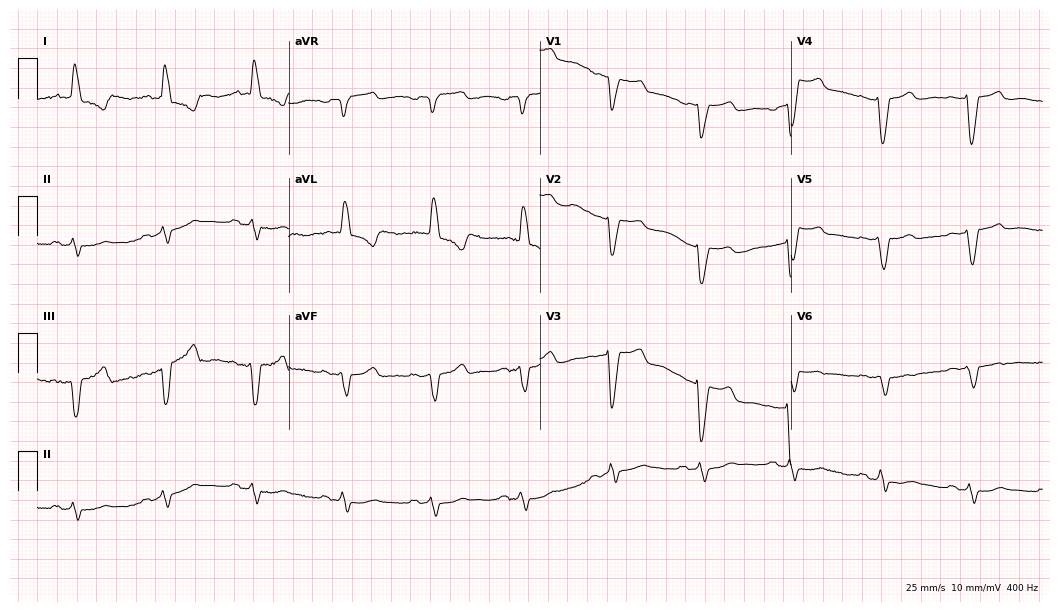
12-lead ECG from a female, 81 years old. Findings include left bundle branch block (LBBB).